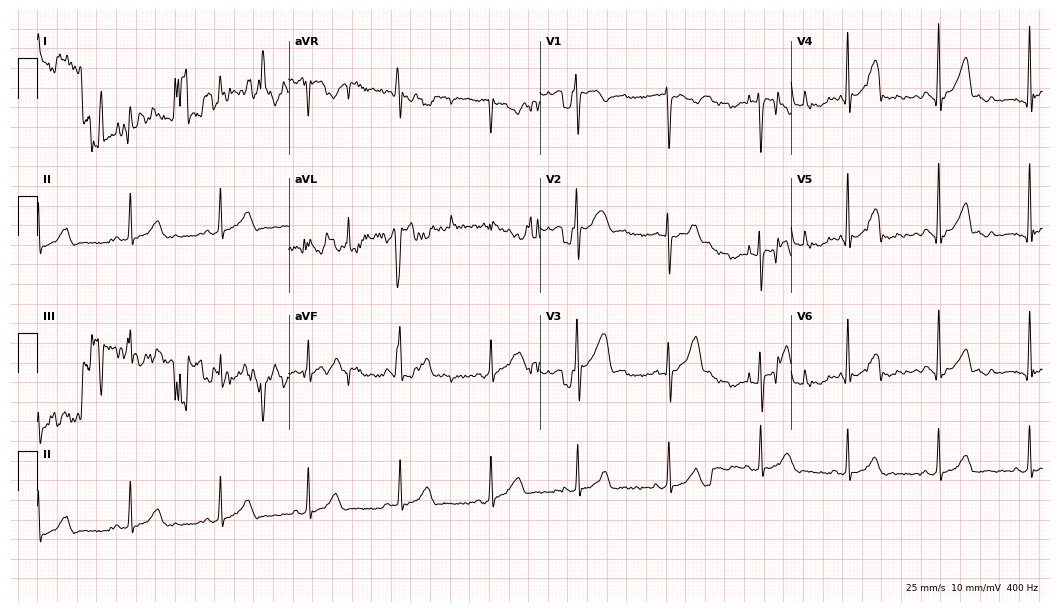
Electrocardiogram, a 20-year-old male patient. Overall reading on record: normal ECG.